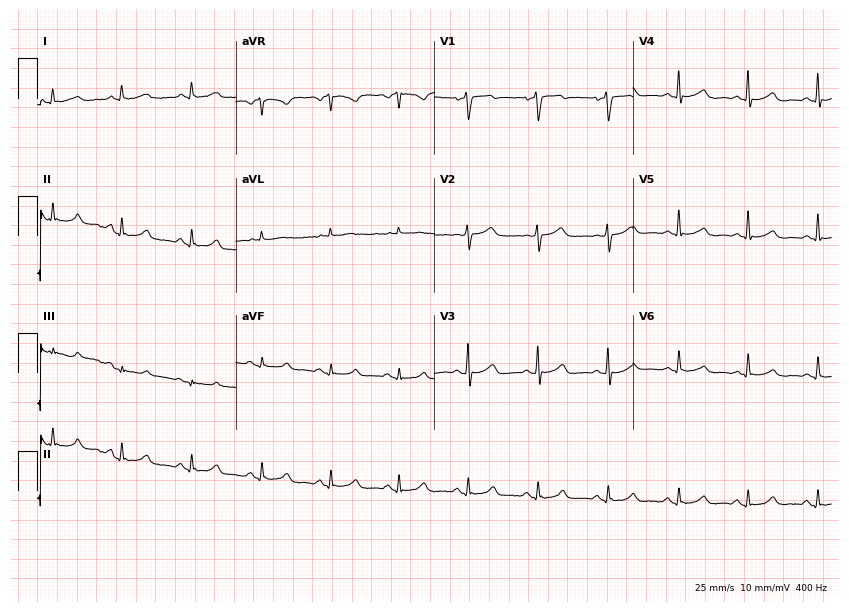
Resting 12-lead electrocardiogram. Patient: a male, 65 years old. Read as a normal ECG.